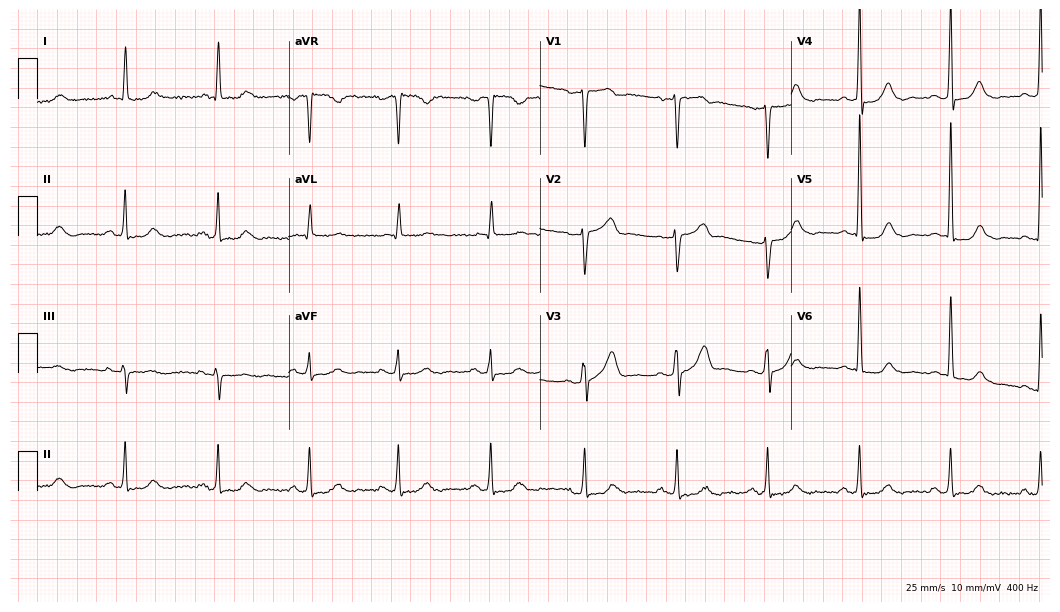
Resting 12-lead electrocardiogram. Patient: a female, 61 years old. None of these six findings is recorded: first-degree AV block, right bundle branch block, left bundle branch block, sinus bradycardia, atrial fibrillation, sinus tachycardia.